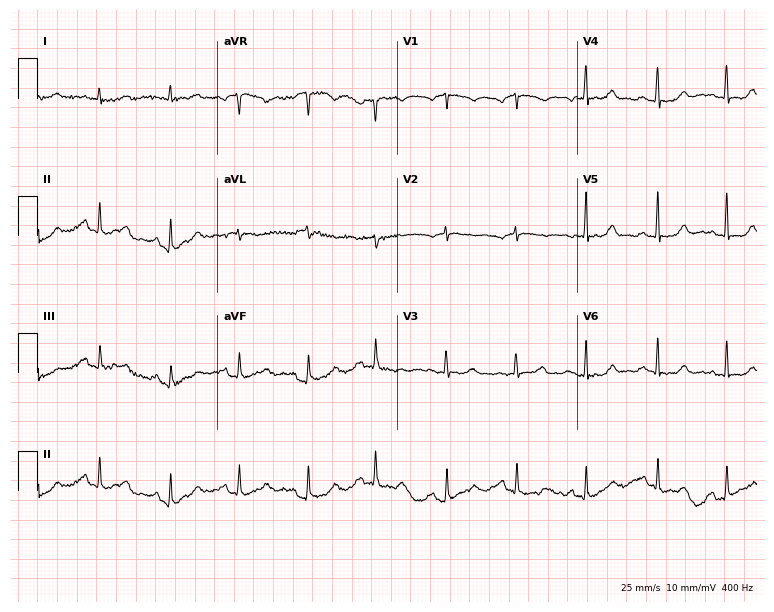
Electrocardiogram (7.3-second recording at 400 Hz), a 79-year-old woman. Of the six screened findings (first-degree AV block, right bundle branch block, left bundle branch block, sinus bradycardia, atrial fibrillation, sinus tachycardia), none is recorded.